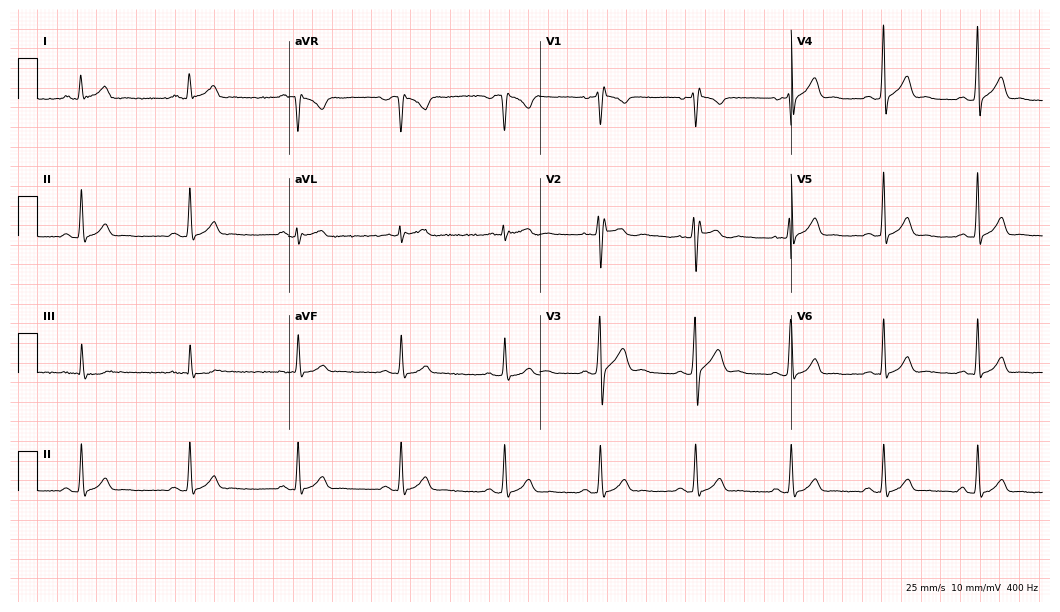
Resting 12-lead electrocardiogram. Patient: a 29-year-old male. None of these six findings is recorded: first-degree AV block, right bundle branch block, left bundle branch block, sinus bradycardia, atrial fibrillation, sinus tachycardia. Other findings, if any, are not listed.